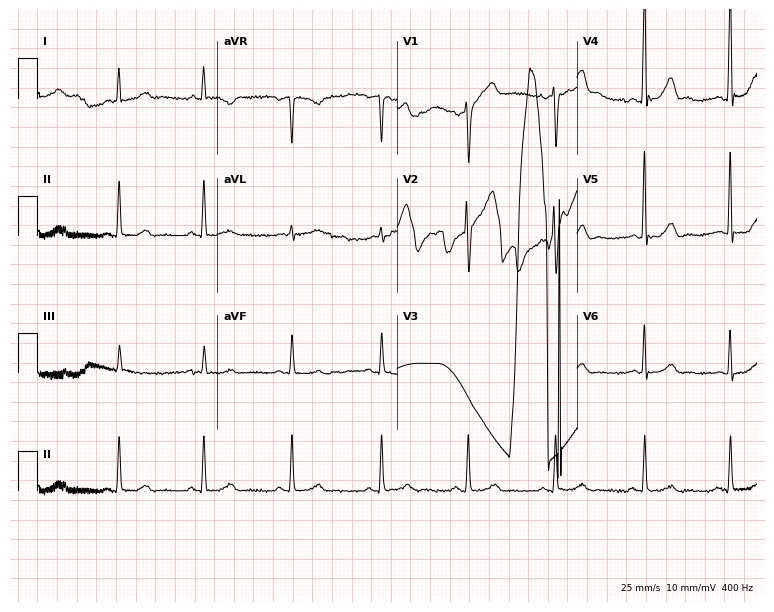
Standard 12-lead ECG recorded from a male, 58 years old. Read as a normal ECG.